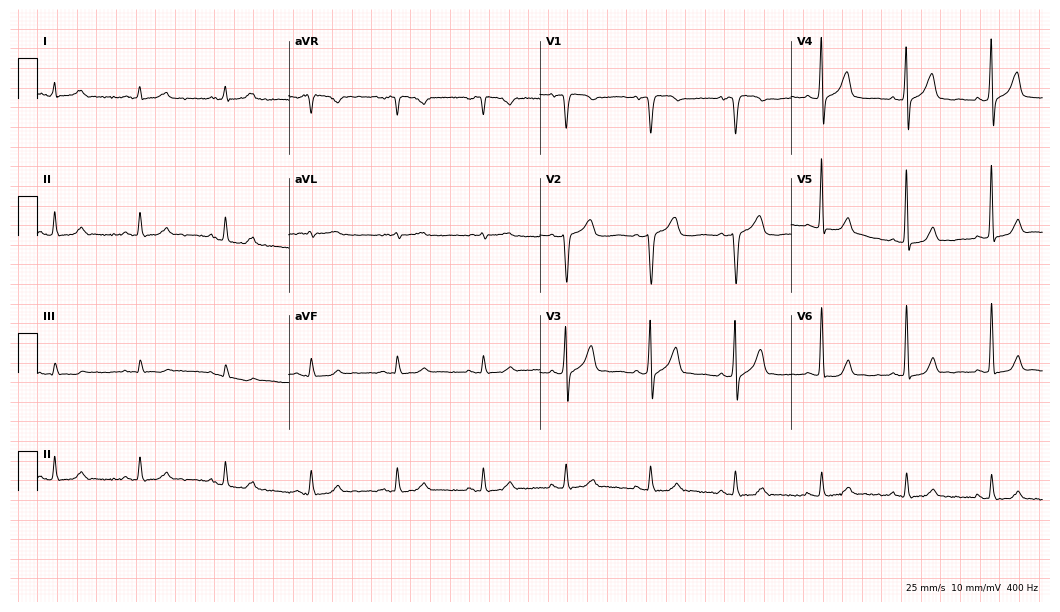
ECG — a female, 81 years old. Labelled as a normal ECG.